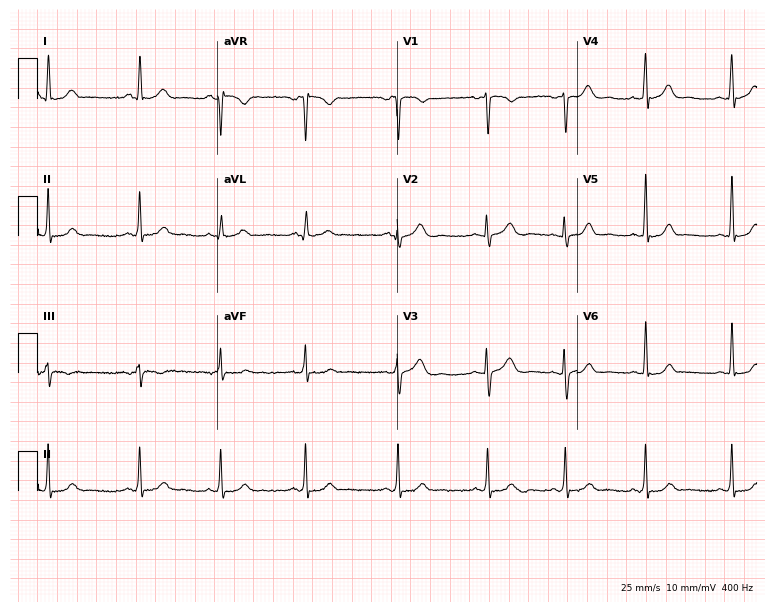
ECG — a 26-year-old woman. Labelled as a normal ECG.